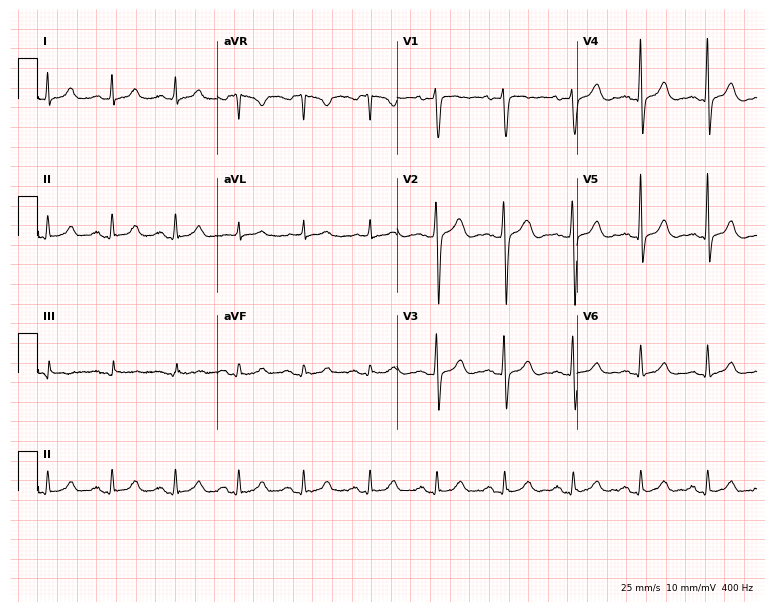
Standard 12-lead ECG recorded from a 33-year-old man. None of these six findings is recorded: first-degree AV block, right bundle branch block (RBBB), left bundle branch block (LBBB), sinus bradycardia, atrial fibrillation (AF), sinus tachycardia.